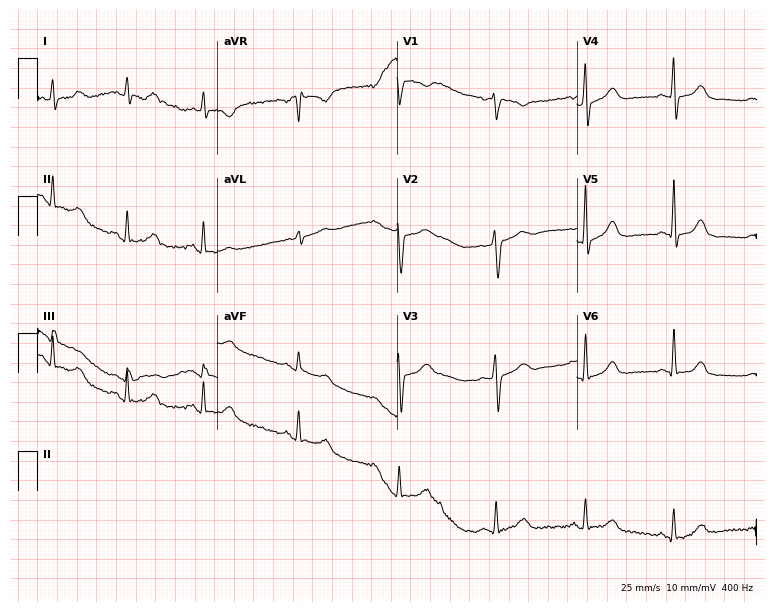
12-lead ECG from a 42-year-old female. No first-degree AV block, right bundle branch block, left bundle branch block, sinus bradycardia, atrial fibrillation or sinus tachycardia recorded for this tracing. Other findings, if any, are not listed.